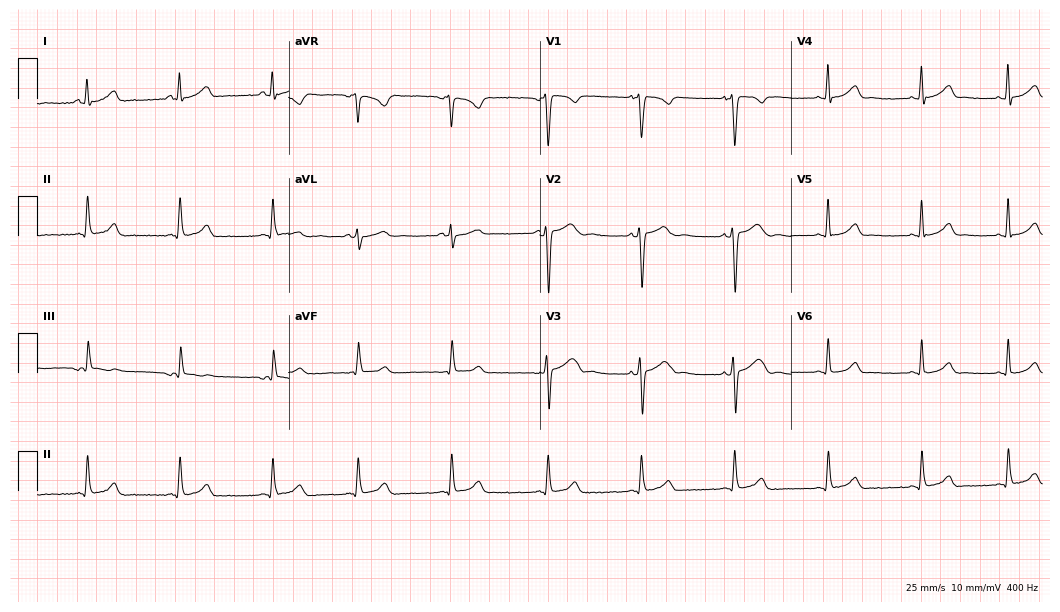
ECG — a woman, 40 years old. Screened for six findings — first-degree AV block, right bundle branch block, left bundle branch block, sinus bradycardia, atrial fibrillation, sinus tachycardia — none is recorded. Other findings, if any, are not listed.